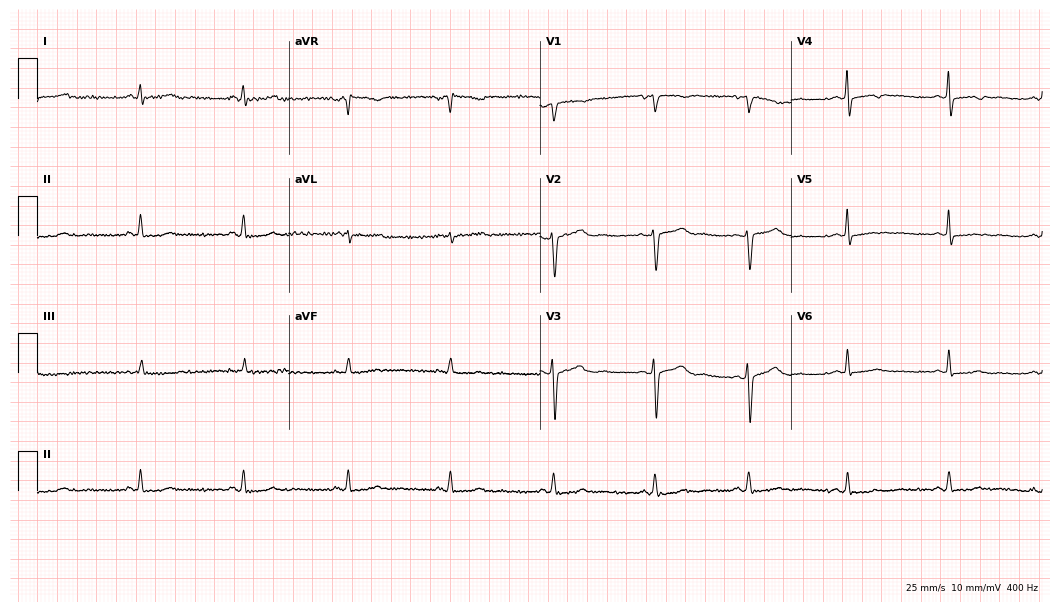
Standard 12-lead ECG recorded from a woman, 34 years old. None of these six findings is recorded: first-degree AV block, right bundle branch block, left bundle branch block, sinus bradycardia, atrial fibrillation, sinus tachycardia. Other findings, if any, are not listed.